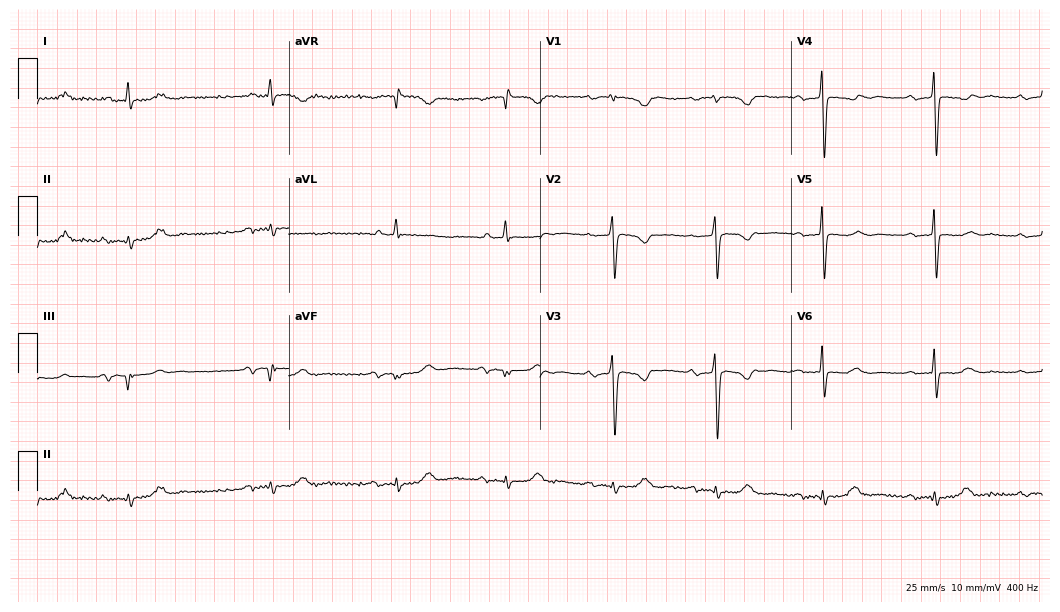
ECG (10.2-second recording at 400 Hz) — a 75-year-old female. Findings include first-degree AV block.